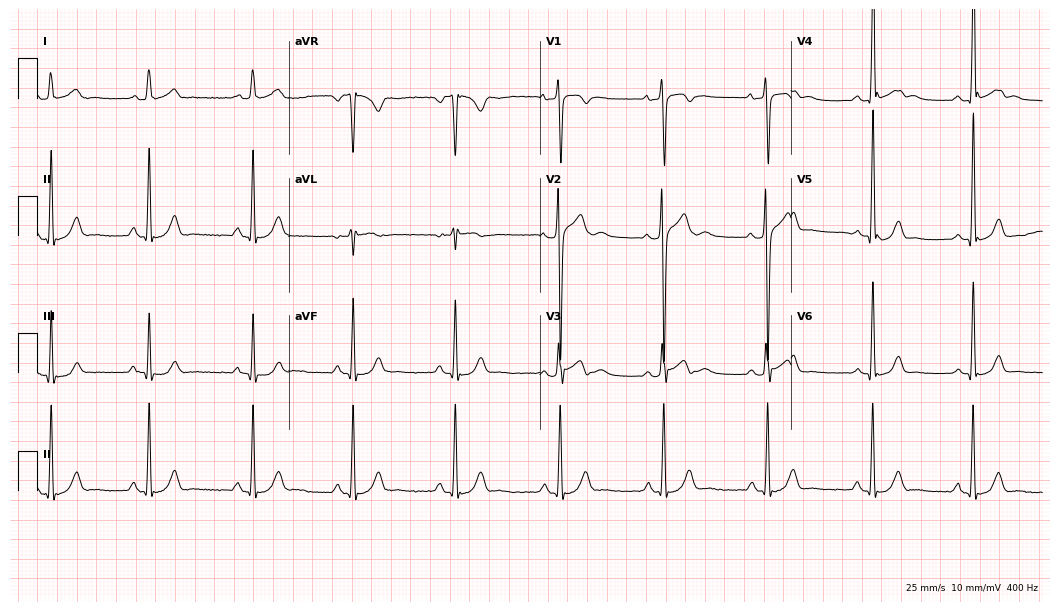
12-lead ECG (10.2-second recording at 400 Hz) from a man, 26 years old. Screened for six findings — first-degree AV block, right bundle branch block, left bundle branch block, sinus bradycardia, atrial fibrillation, sinus tachycardia — none is recorded.